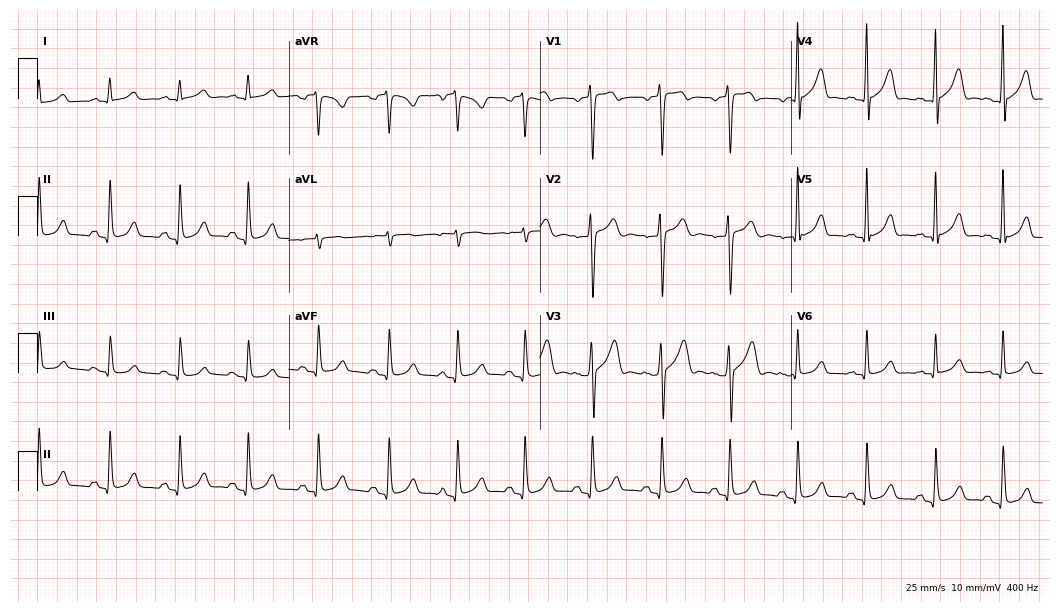
12-lead ECG from a male, 21 years old. Labelled as a normal ECG.